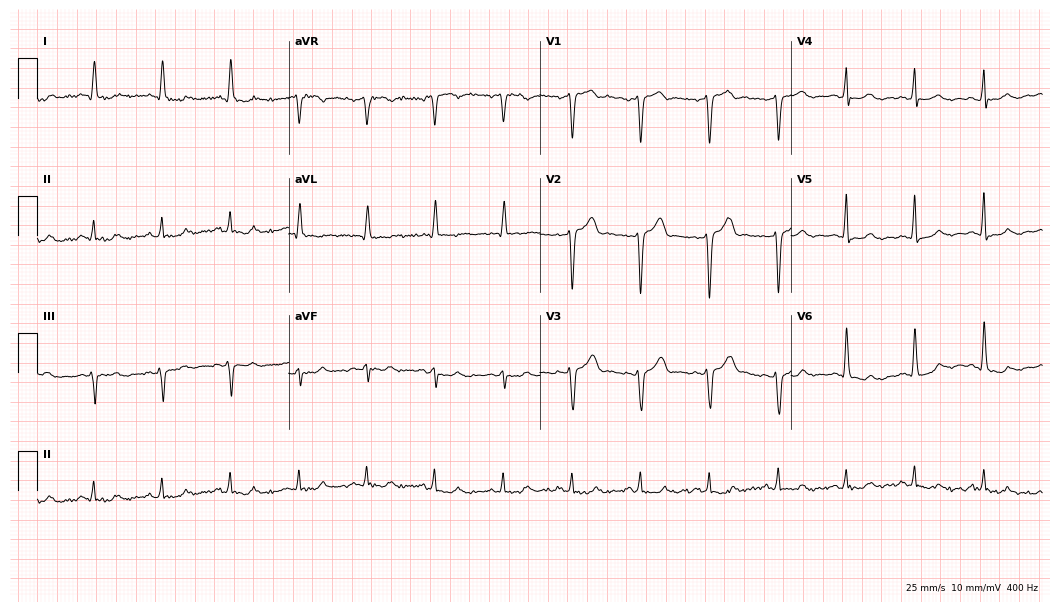
12-lead ECG from a 55-year-old male. Screened for six findings — first-degree AV block, right bundle branch block (RBBB), left bundle branch block (LBBB), sinus bradycardia, atrial fibrillation (AF), sinus tachycardia — none is recorded.